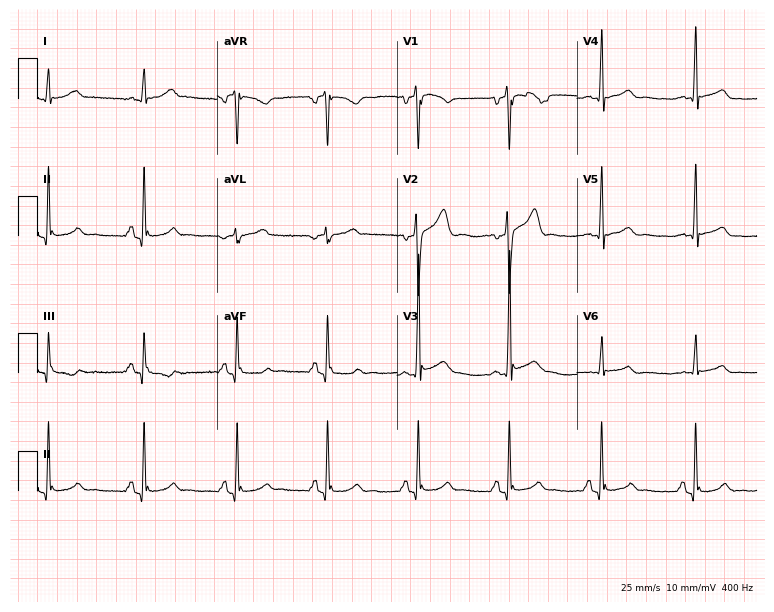
Resting 12-lead electrocardiogram (7.3-second recording at 400 Hz). Patient: a 45-year-old male. None of these six findings is recorded: first-degree AV block, right bundle branch block (RBBB), left bundle branch block (LBBB), sinus bradycardia, atrial fibrillation (AF), sinus tachycardia. Other findings, if any, are not listed.